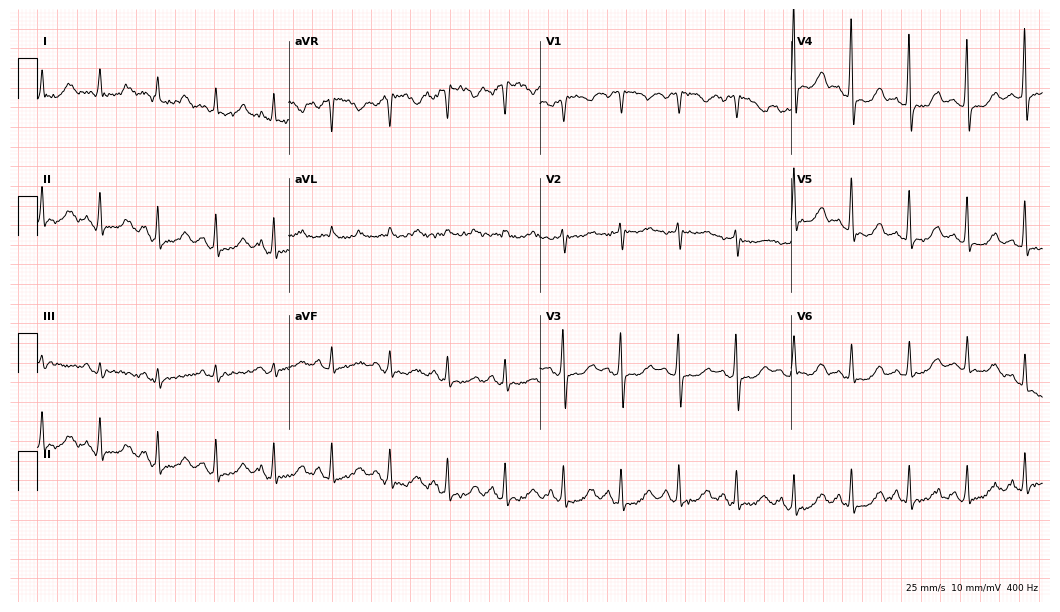
12-lead ECG (10.2-second recording at 400 Hz) from a female, 53 years old. Findings include sinus tachycardia (a sinus rate of 100 beats per minute or more).